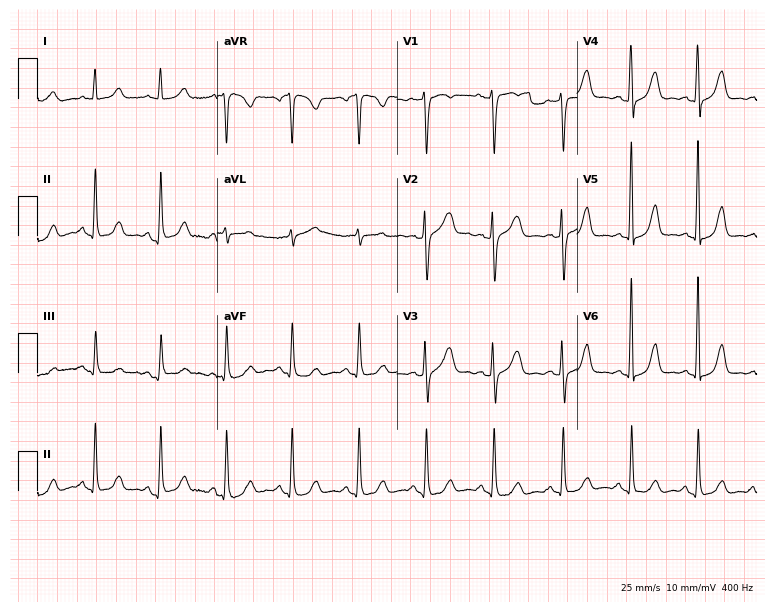
12-lead ECG from a woman, 61 years old (7.3-second recording at 400 Hz). No first-degree AV block, right bundle branch block (RBBB), left bundle branch block (LBBB), sinus bradycardia, atrial fibrillation (AF) or sinus tachycardia recorded for this tracing.